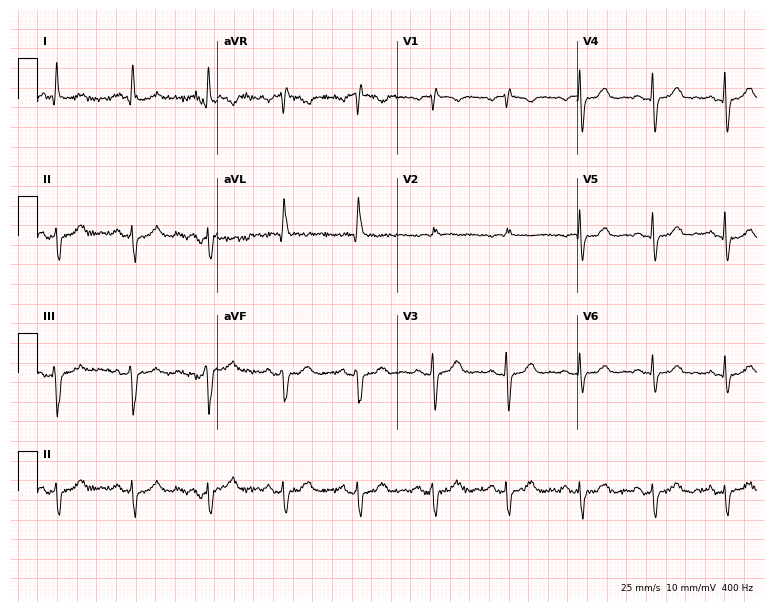
12-lead ECG (7.3-second recording at 400 Hz) from a female, 61 years old. Screened for six findings — first-degree AV block, right bundle branch block (RBBB), left bundle branch block (LBBB), sinus bradycardia, atrial fibrillation (AF), sinus tachycardia — none is recorded.